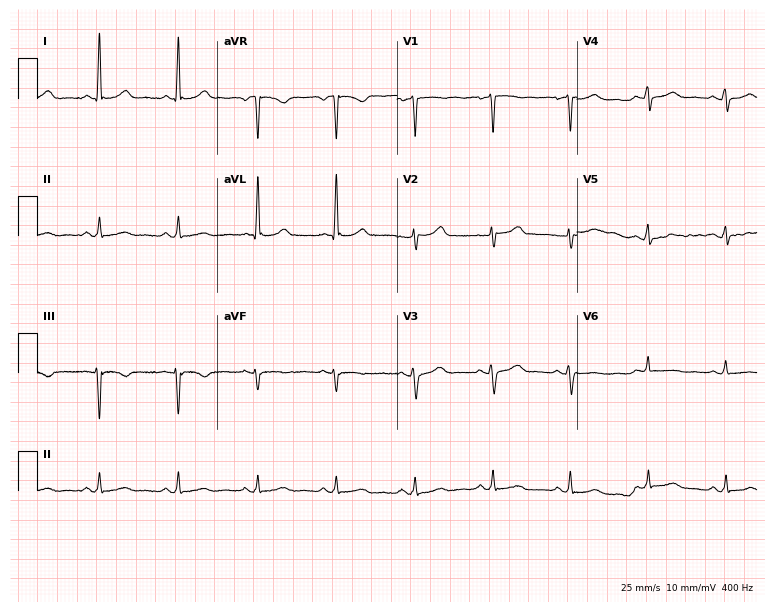
Electrocardiogram, a woman, 69 years old. Of the six screened findings (first-degree AV block, right bundle branch block (RBBB), left bundle branch block (LBBB), sinus bradycardia, atrial fibrillation (AF), sinus tachycardia), none is recorded.